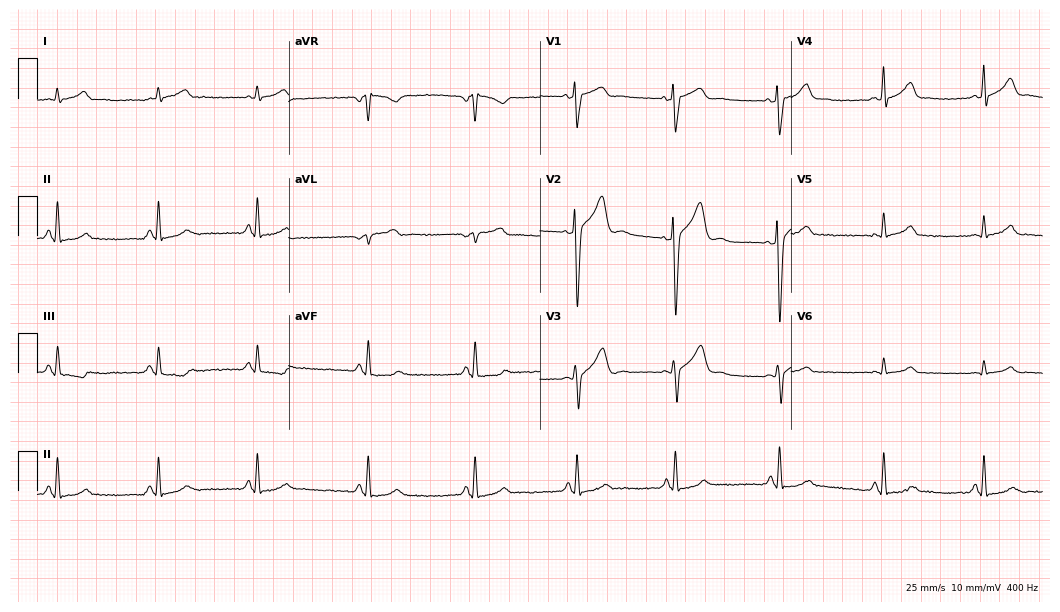
Standard 12-lead ECG recorded from a man, 29 years old (10.2-second recording at 400 Hz). Read as a normal ECG.